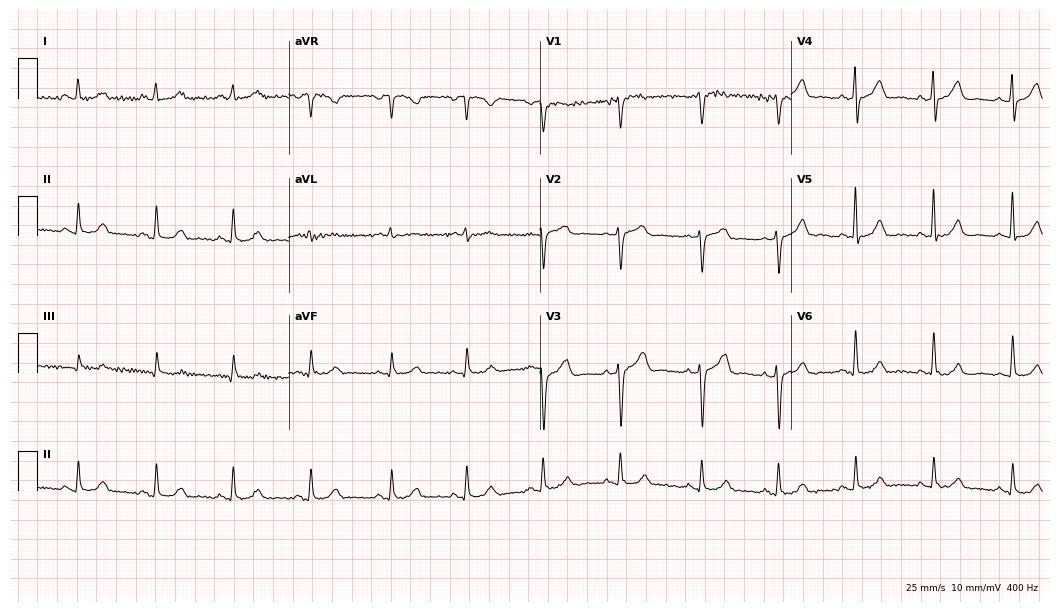
ECG (10.2-second recording at 400 Hz) — a male, 78 years old. Labelled as a normal ECG.